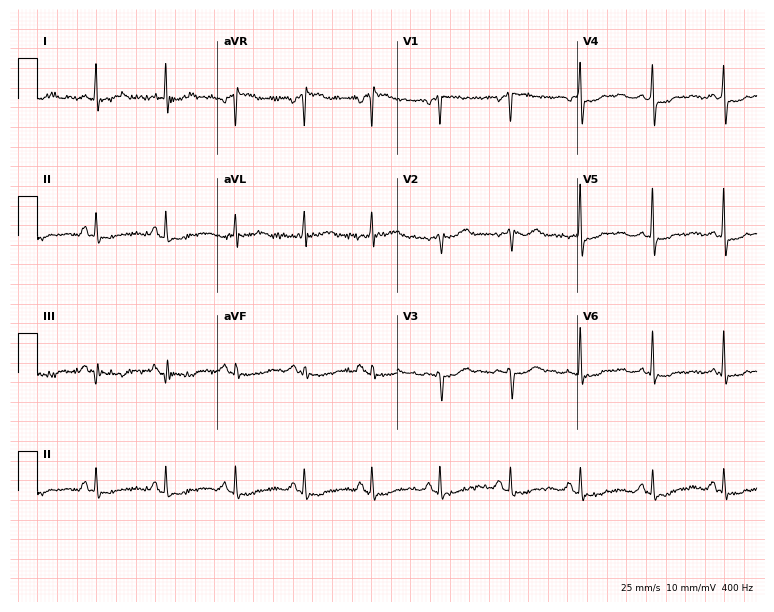
12-lead ECG from a female, 69 years old (7.3-second recording at 400 Hz). No first-degree AV block, right bundle branch block, left bundle branch block, sinus bradycardia, atrial fibrillation or sinus tachycardia recorded for this tracing. Other findings, if any, are not listed.